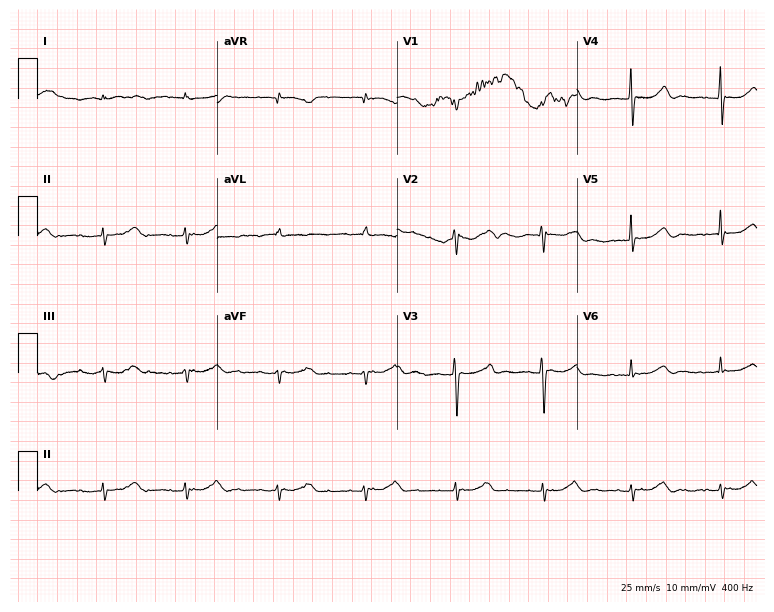
ECG (7.3-second recording at 400 Hz) — a female patient, 76 years old. Screened for six findings — first-degree AV block, right bundle branch block, left bundle branch block, sinus bradycardia, atrial fibrillation, sinus tachycardia — none is recorded.